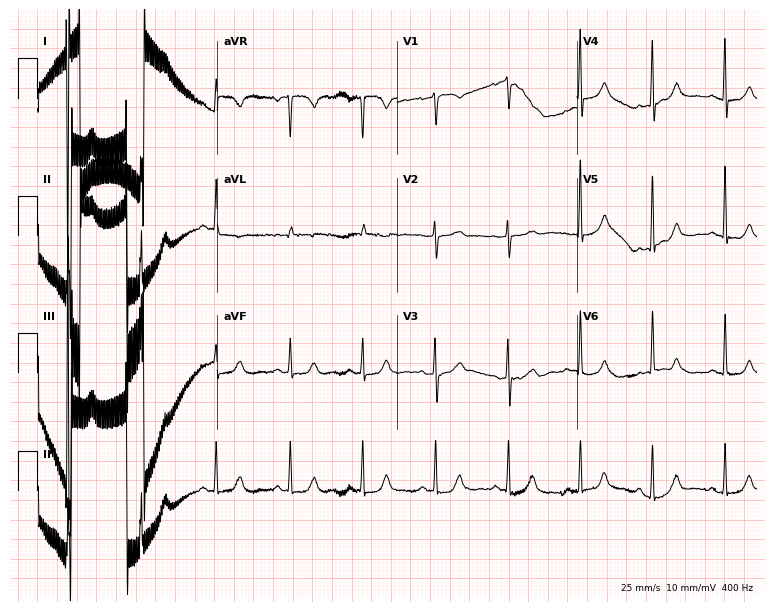
Resting 12-lead electrocardiogram. Patient: a female, 71 years old. Read as a normal ECG.